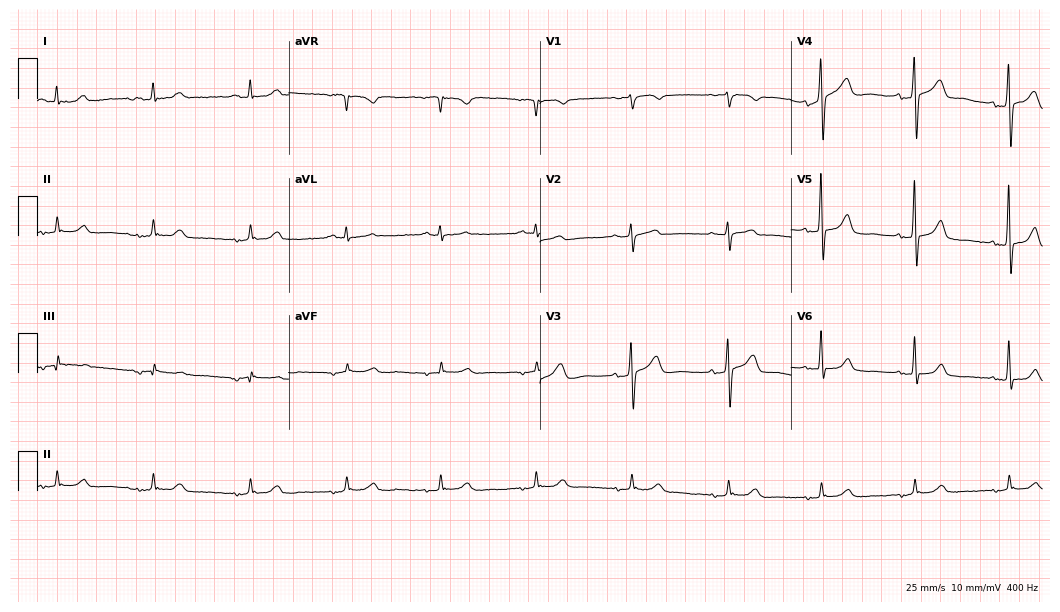
Resting 12-lead electrocardiogram. Patient: a male, 64 years old. Read as a normal ECG.